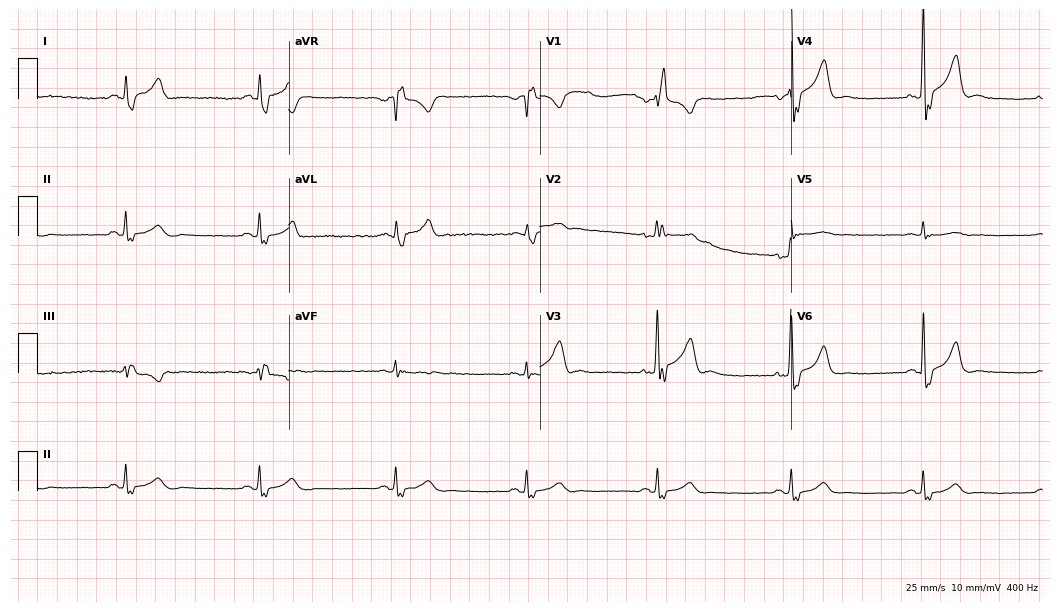
12-lead ECG from a 49-year-old male. Shows right bundle branch block (RBBB).